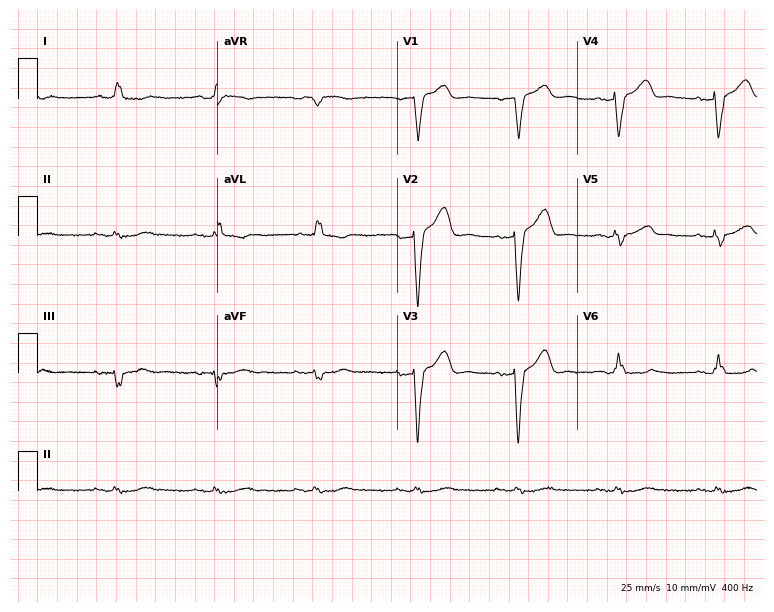
12-lead ECG from a man, 63 years old. Findings include left bundle branch block.